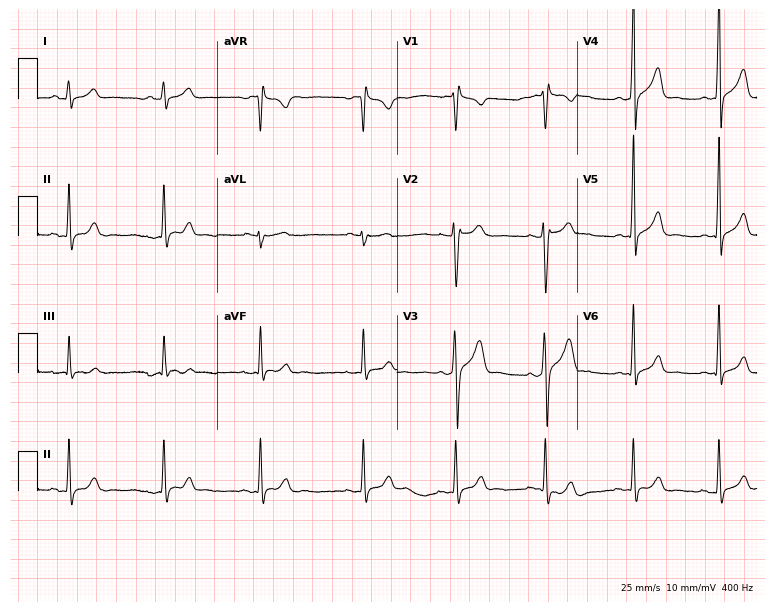
12-lead ECG from a male, 21 years old. Labelled as a normal ECG.